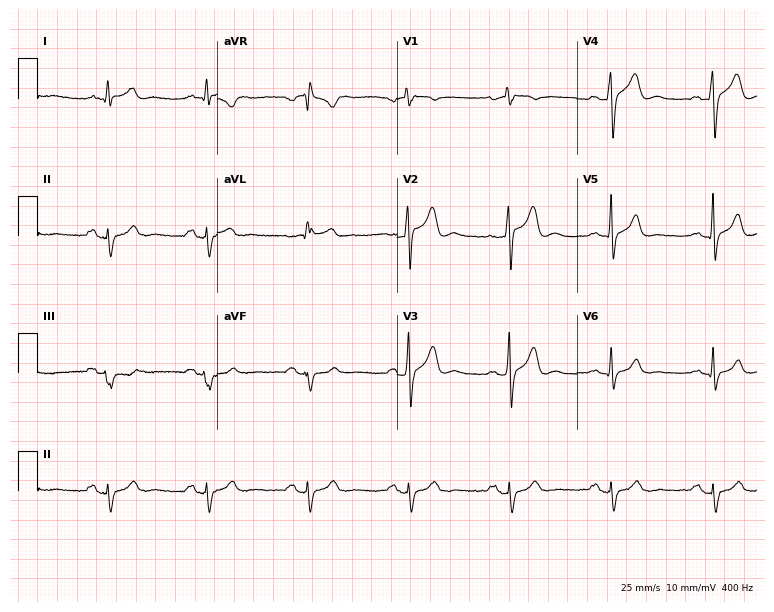
12-lead ECG from a 51-year-old male (7.3-second recording at 400 Hz). No first-degree AV block, right bundle branch block (RBBB), left bundle branch block (LBBB), sinus bradycardia, atrial fibrillation (AF) or sinus tachycardia recorded for this tracing. Other findings, if any, are not listed.